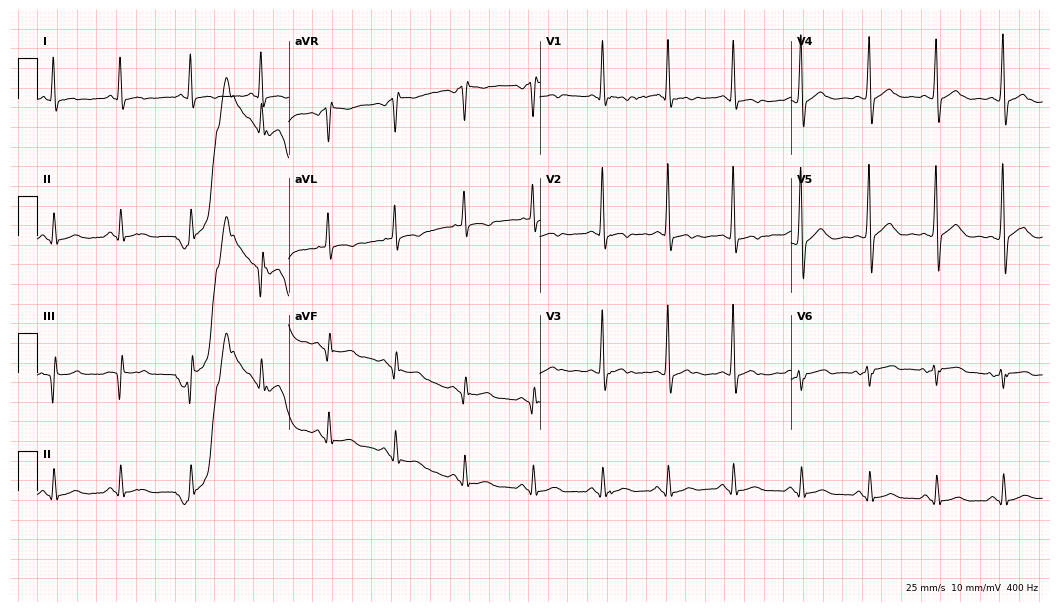
12-lead ECG from a 50-year-old male patient. No first-degree AV block, right bundle branch block, left bundle branch block, sinus bradycardia, atrial fibrillation or sinus tachycardia recorded for this tracing. Other findings, if any, are not listed.